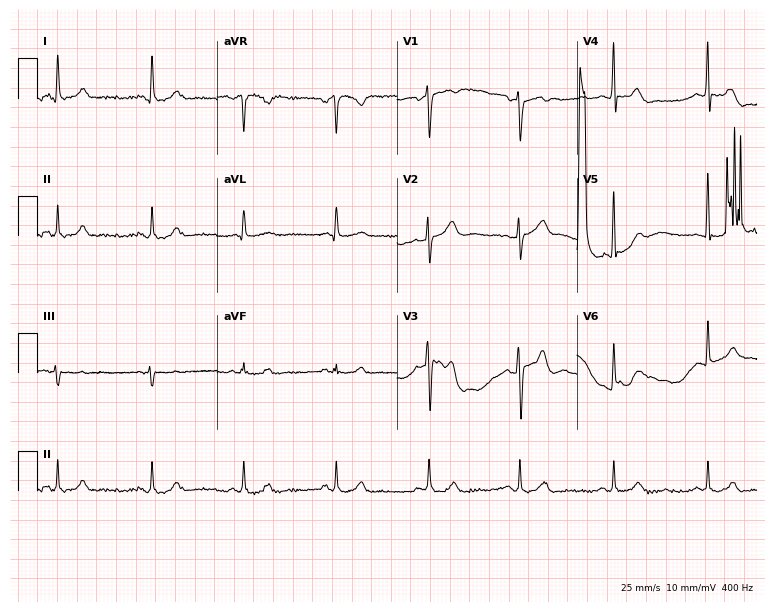
12-lead ECG (7.3-second recording at 400 Hz) from a 43-year-old male patient. Labelled as a normal ECG.